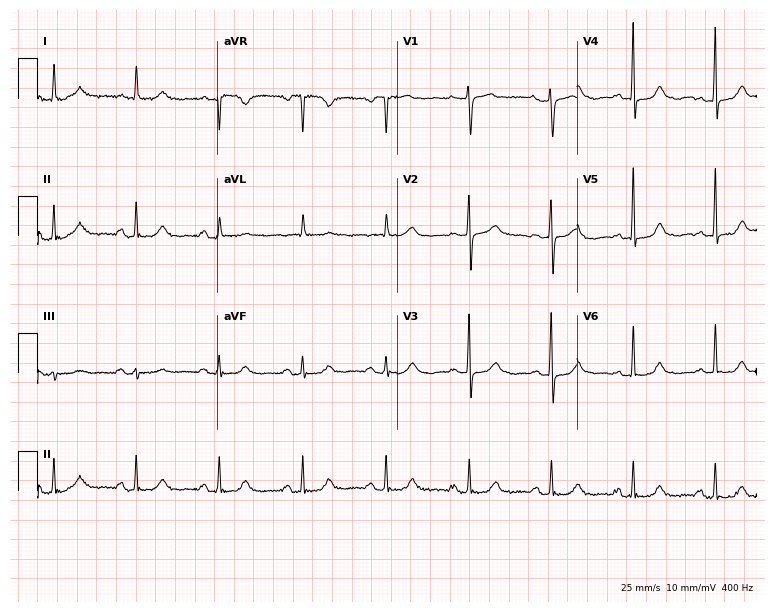
Electrocardiogram (7.3-second recording at 400 Hz), a 68-year-old woman. Overall reading on record: normal ECG.